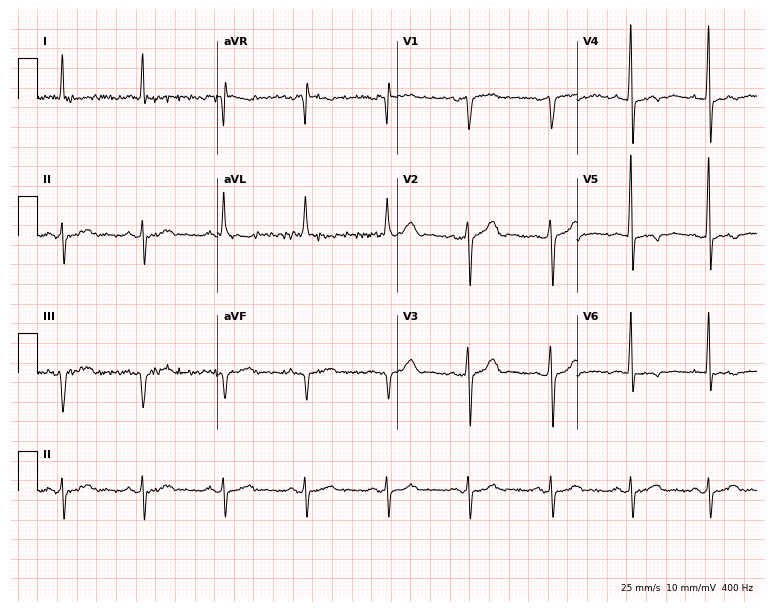
Standard 12-lead ECG recorded from a 66-year-old man (7.3-second recording at 400 Hz). None of these six findings is recorded: first-degree AV block, right bundle branch block (RBBB), left bundle branch block (LBBB), sinus bradycardia, atrial fibrillation (AF), sinus tachycardia. Only these six findings were labelled.